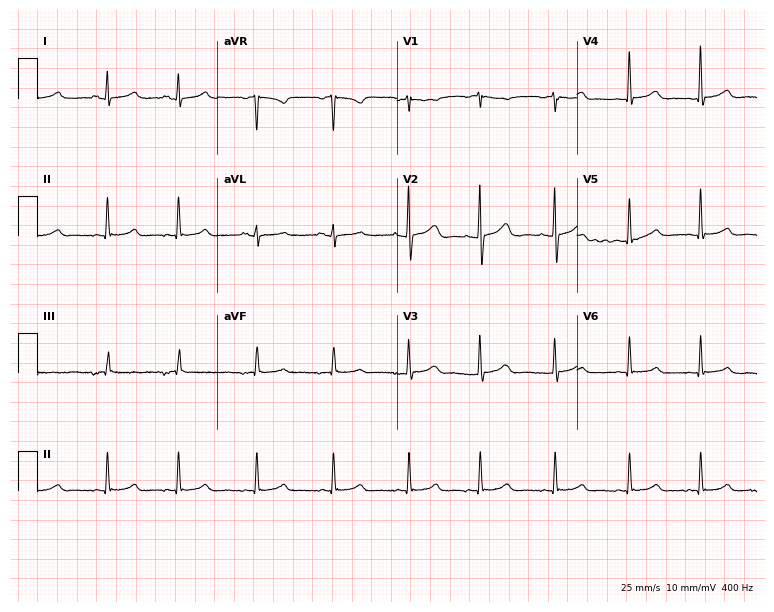
Electrocardiogram (7.3-second recording at 400 Hz), a 29-year-old female patient. Of the six screened findings (first-degree AV block, right bundle branch block (RBBB), left bundle branch block (LBBB), sinus bradycardia, atrial fibrillation (AF), sinus tachycardia), none is recorded.